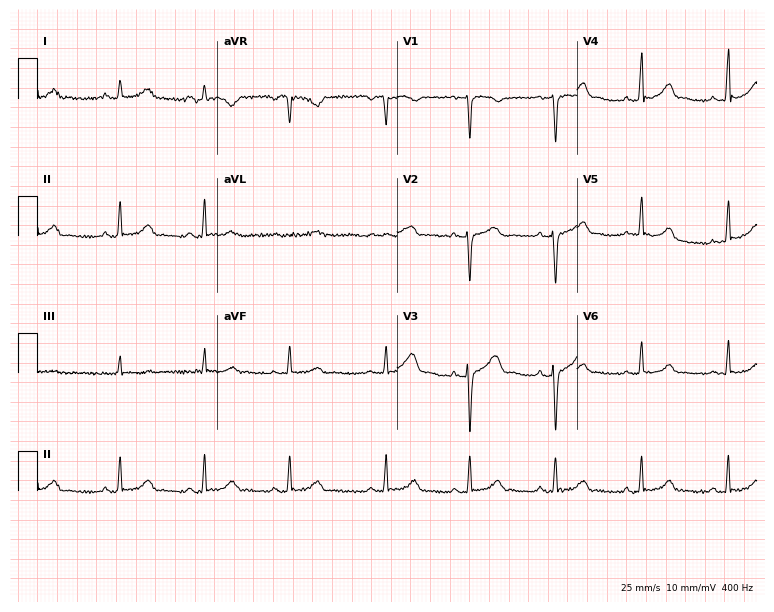
Electrocardiogram (7.3-second recording at 400 Hz), a 24-year-old female patient. Overall reading on record: normal ECG.